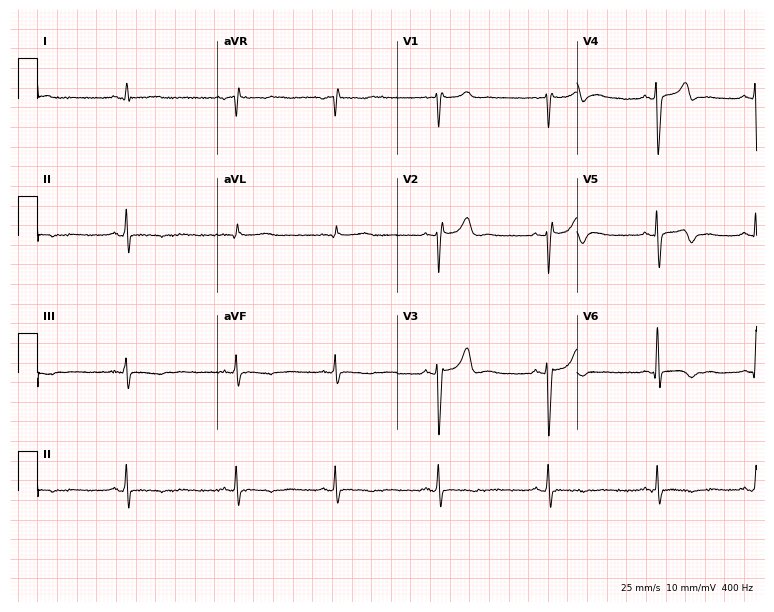
12-lead ECG from a 47-year-old male patient (7.3-second recording at 400 Hz). No first-degree AV block, right bundle branch block (RBBB), left bundle branch block (LBBB), sinus bradycardia, atrial fibrillation (AF) or sinus tachycardia recorded for this tracing.